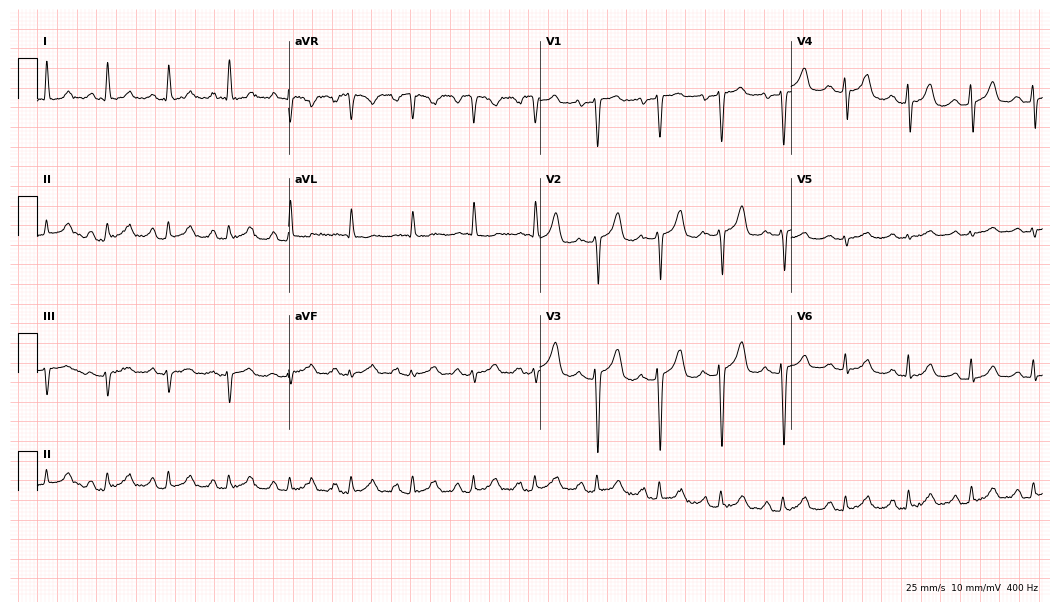
Electrocardiogram (10.2-second recording at 400 Hz), a female, 72 years old. Of the six screened findings (first-degree AV block, right bundle branch block (RBBB), left bundle branch block (LBBB), sinus bradycardia, atrial fibrillation (AF), sinus tachycardia), none is recorded. Other findings, if any, are not listed.